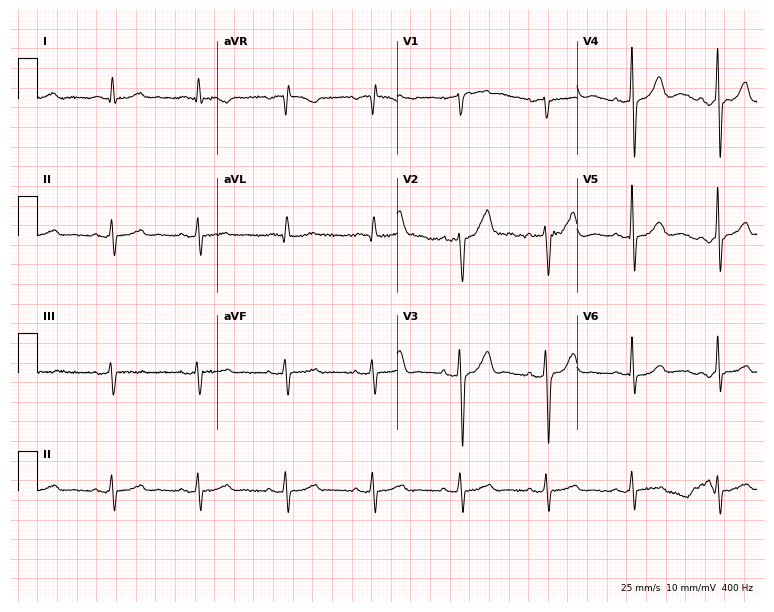
ECG (7.3-second recording at 400 Hz) — a male, 77 years old. Labelled as a normal ECG.